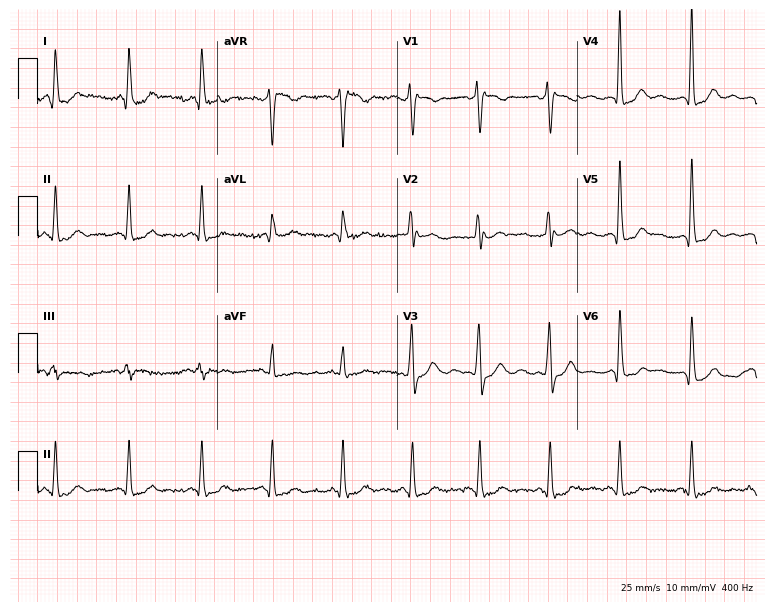
12-lead ECG (7.3-second recording at 400 Hz) from a woman, 45 years old. Screened for six findings — first-degree AV block, right bundle branch block, left bundle branch block, sinus bradycardia, atrial fibrillation, sinus tachycardia — none is recorded.